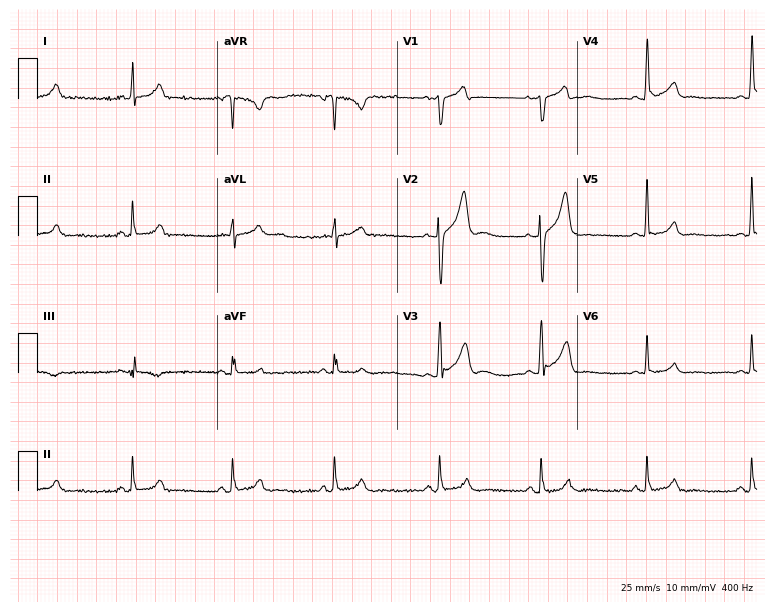
ECG (7.3-second recording at 400 Hz) — a male patient, 38 years old. Labelled as a normal ECG.